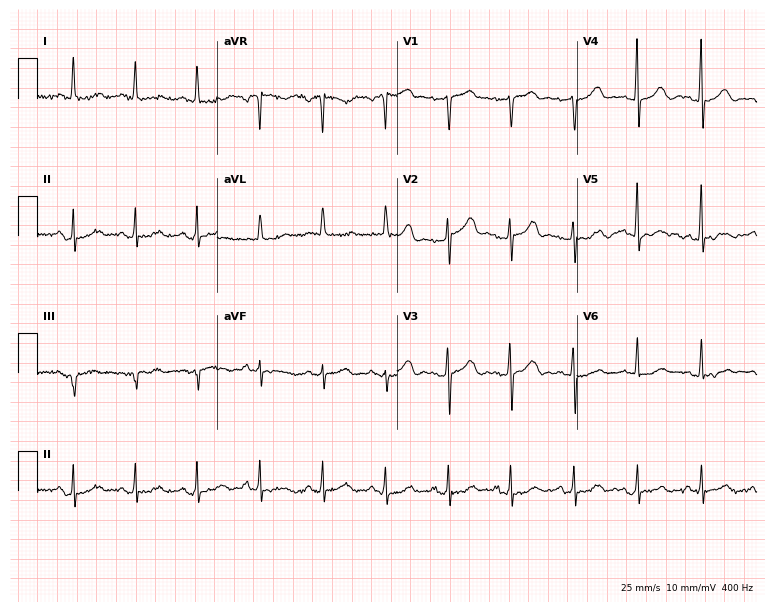
Resting 12-lead electrocardiogram (7.3-second recording at 400 Hz). Patient: a female, 76 years old. None of these six findings is recorded: first-degree AV block, right bundle branch block, left bundle branch block, sinus bradycardia, atrial fibrillation, sinus tachycardia. Other findings, if any, are not listed.